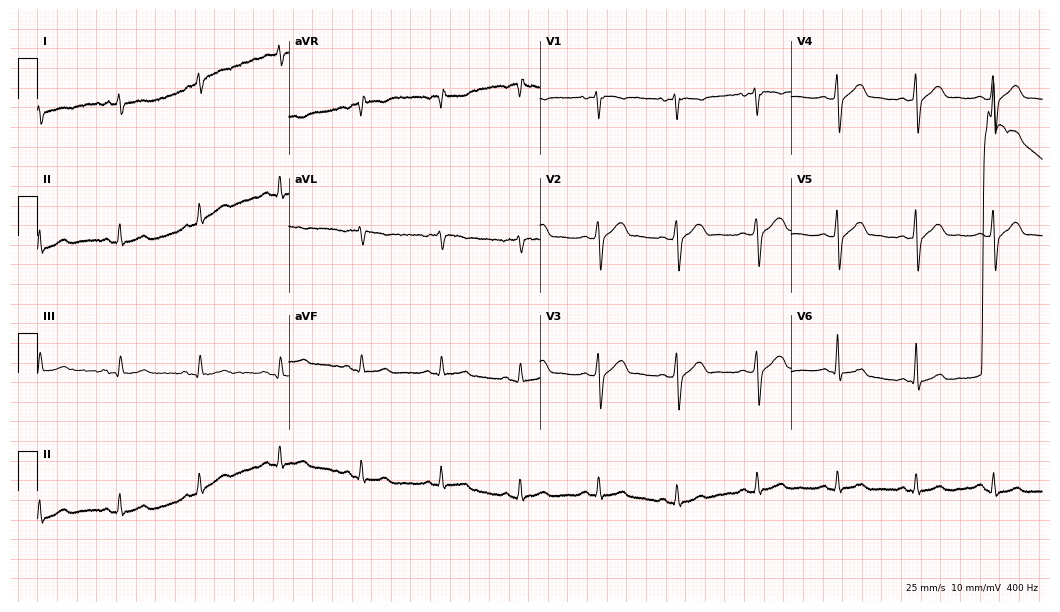
ECG (10.2-second recording at 400 Hz) — a male, 41 years old. Screened for six findings — first-degree AV block, right bundle branch block (RBBB), left bundle branch block (LBBB), sinus bradycardia, atrial fibrillation (AF), sinus tachycardia — none is recorded.